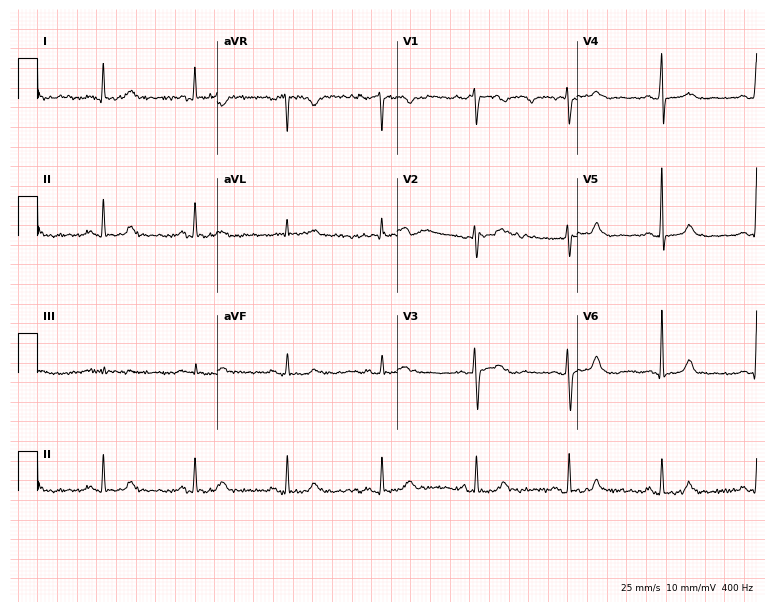
ECG (7.3-second recording at 400 Hz) — a 46-year-old female patient. Screened for six findings — first-degree AV block, right bundle branch block, left bundle branch block, sinus bradycardia, atrial fibrillation, sinus tachycardia — none is recorded. Only these six findings were labelled.